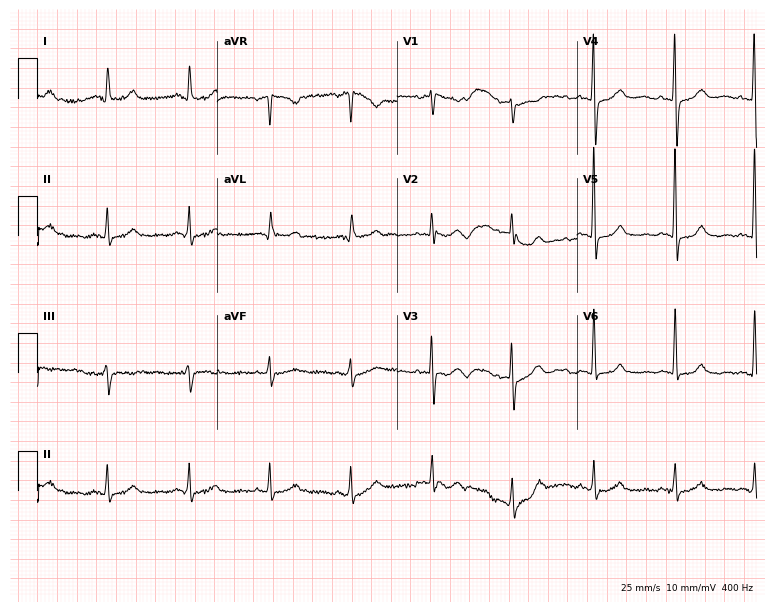
12-lead ECG (7.3-second recording at 400 Hz) from a female, 56 years old. Screened for six findings — first-degree AV block, right bundle branch block, left bundle branch block, sinus bradycardia, atrial fibrillation, sinus tachycardia — none is recorded.